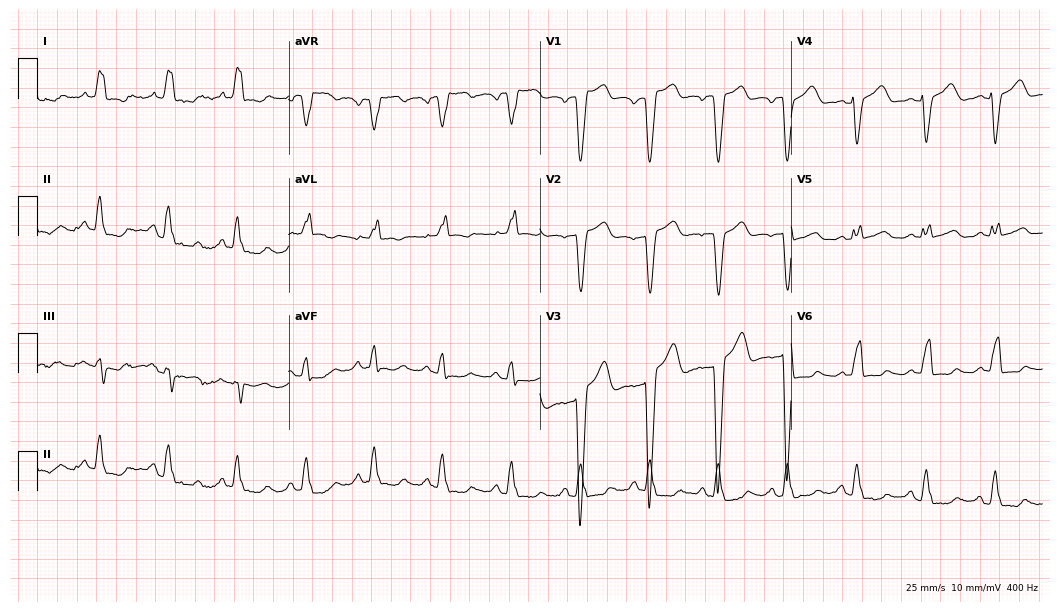
12-lead ECG from a 73-year-old female patient. No first-degree AV block, right bundle branch block, left bundle branch block, sinus bradycardia, atrial fibrillation or sinus tachycardia recorded for this tracing. Only these six findings were labelled.